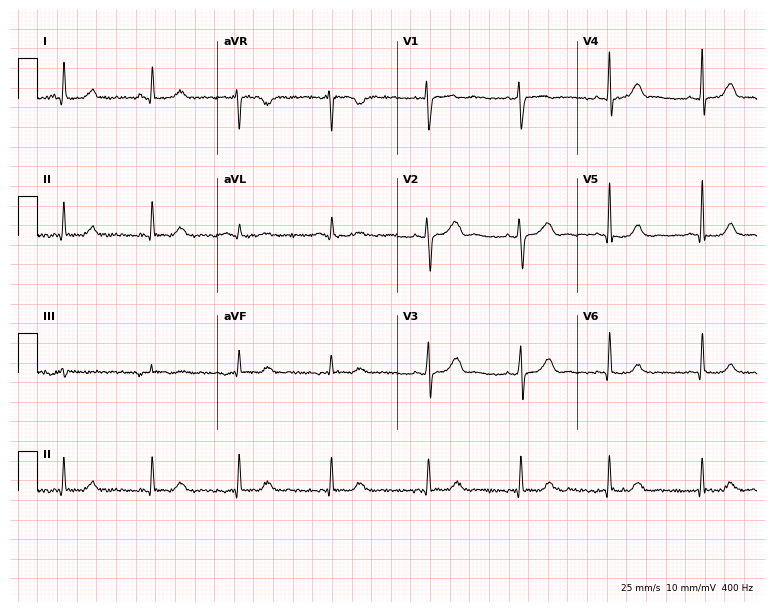
Standard 12-lead ECG recorded from a 36-year-old woman. None of these six findings is recorded: first-degree AV block, right bundle branch block, left bundle branch block, sinus bradycardia, atrial fibrillation, sinus tachycardia. Findings outside these six are not listed.